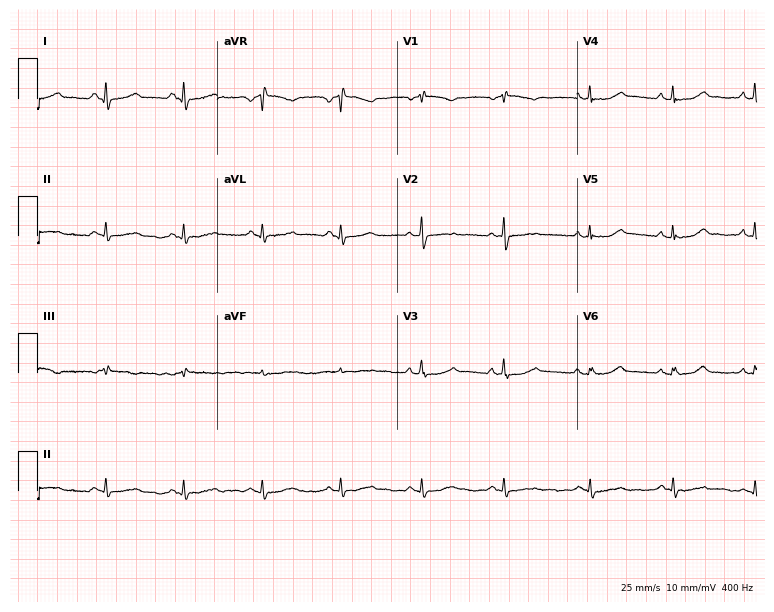
Resting 12-lead electrocardiogram (7.3-second recording at 400 Hz). Patient: a female, 69 years old. Read as a normal ECG.